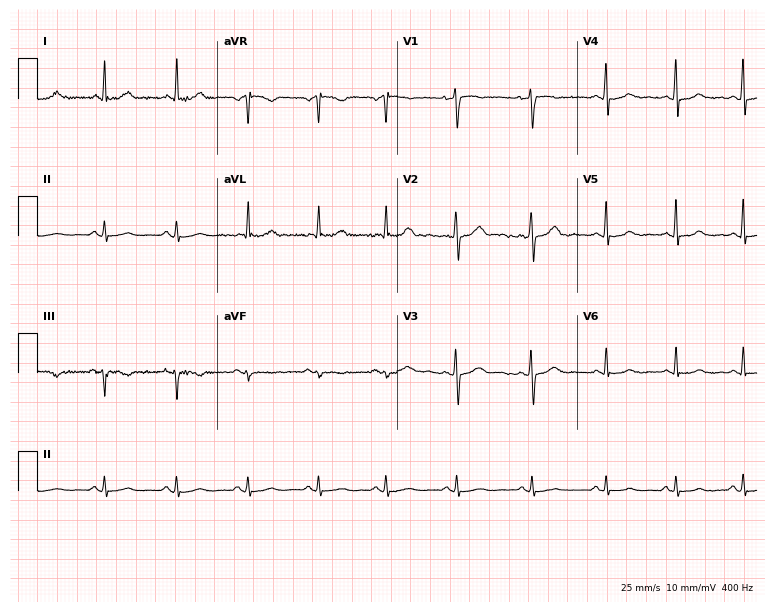
Resting 12-lead electrocardiogram (7.3-second recording at 400 Hz). Patient: a female, 38 years old. None of these six findings is recorded: first-degree AV block, right bundle branch block, left bundle branch block, sinus bradycardia, atrial fibrillation, sinus tachycardia. Only these six findings were labelled.